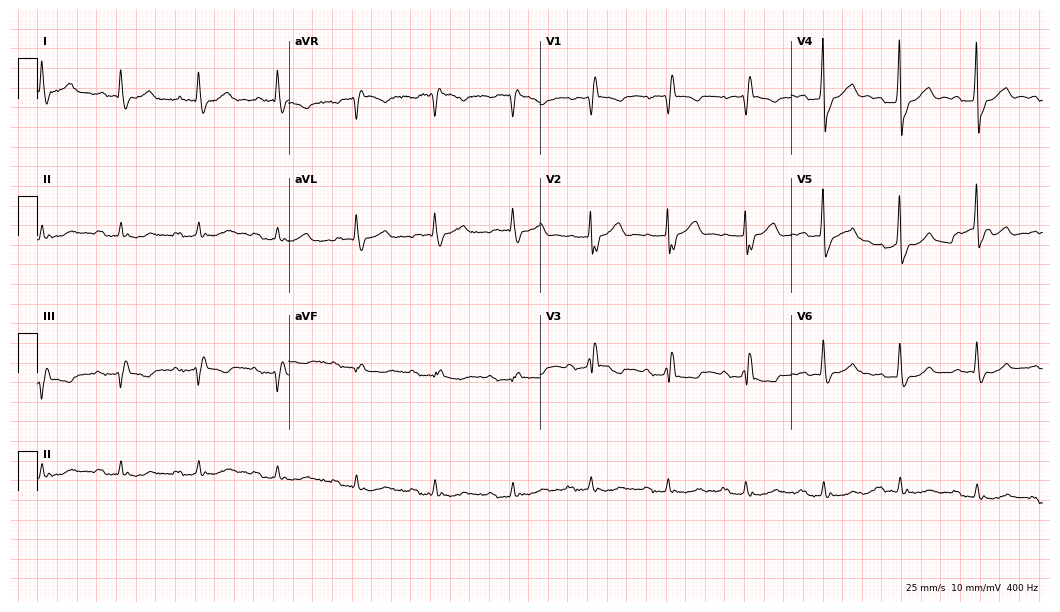
12-lead ECG from an 82-year-old man (10.2-second recording at 400 Hz). Shows first-degree AV block, right bundle branch block (RBBB).